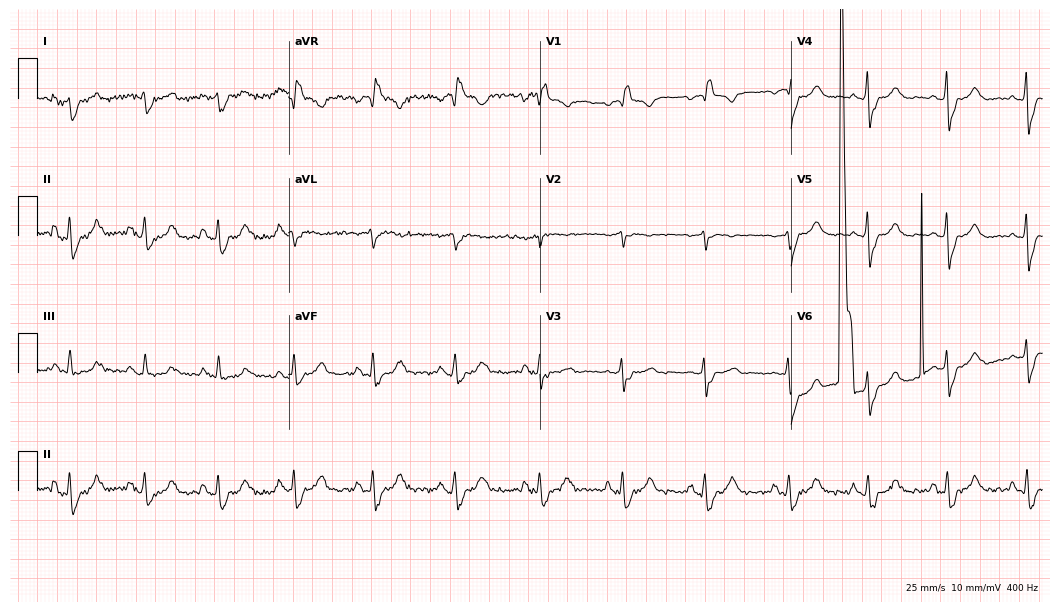
Standard 12-lead ECG recorded from a 71-year-old man. The tracing shows atrial fibrillation (AF).